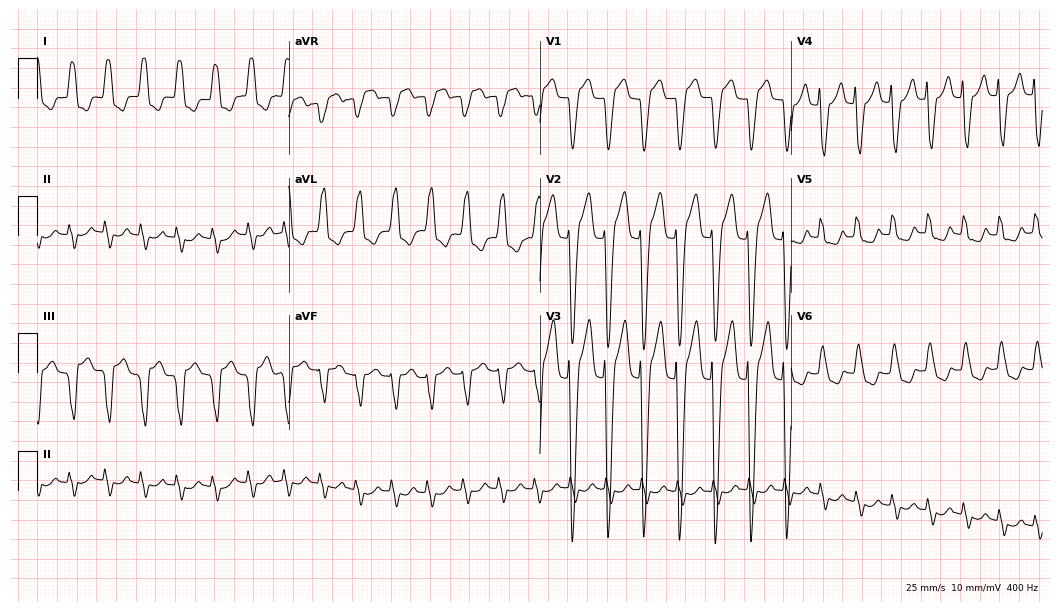
Resting 12-lead electrocardiogram (10.2-second recording at 400 Hz). Patient: a woman, 78 years old. The tracing shows left bundle branch block.